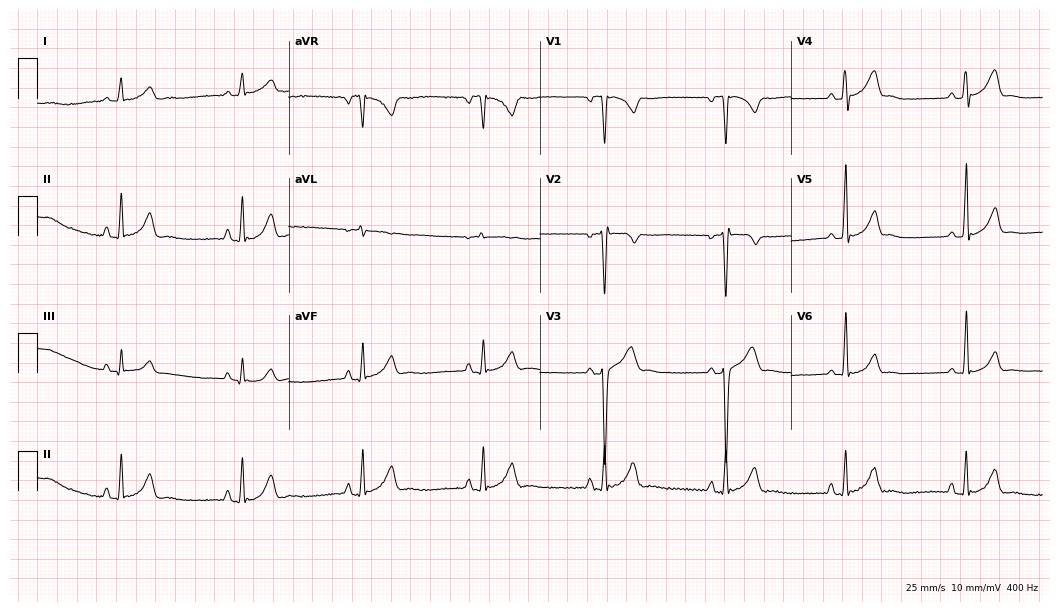
12-lead ECG from a 23-year-old male. Screened for six findings — first-degree AV block, right bundle branch block, left bundle branch block, sinus bradycardia, atrial fibrillation, sinus tachycardia — none is recorded. Findings outside these six are not listed.